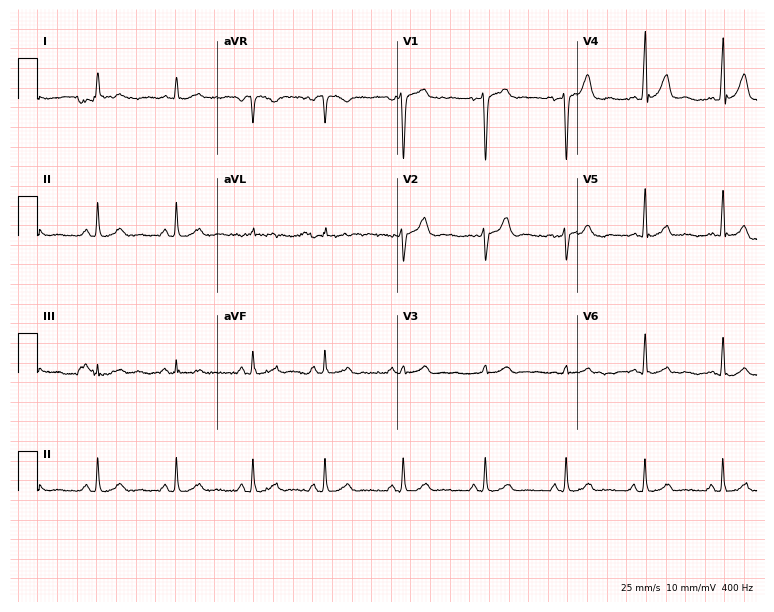
Standard 12-lead ECG recorded from a male patient, 38 years old. Read as a normal ECG.